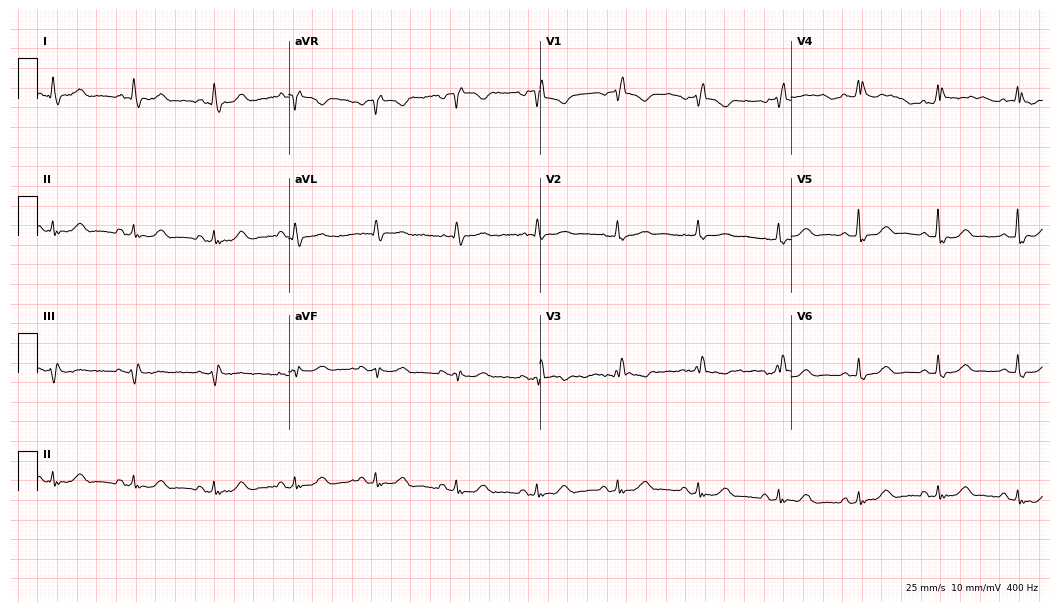
Electrocardiogram (10.2-second recording at 400 Hz), a woman, 62 years old. Of the six screened findings (first-degree AV block, right bundle branch block (RBBB), left bundle branch block (LBBB), sinus bradycardia, atrial fibrillation (AF), sinus tachycardia), none is recorded.